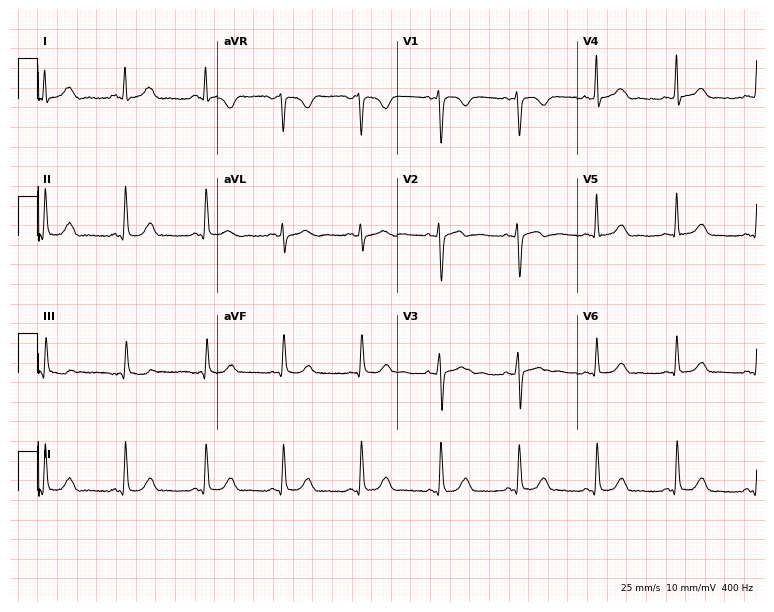
ECG — a female, 48 years old. Labelled as a normal ECG.